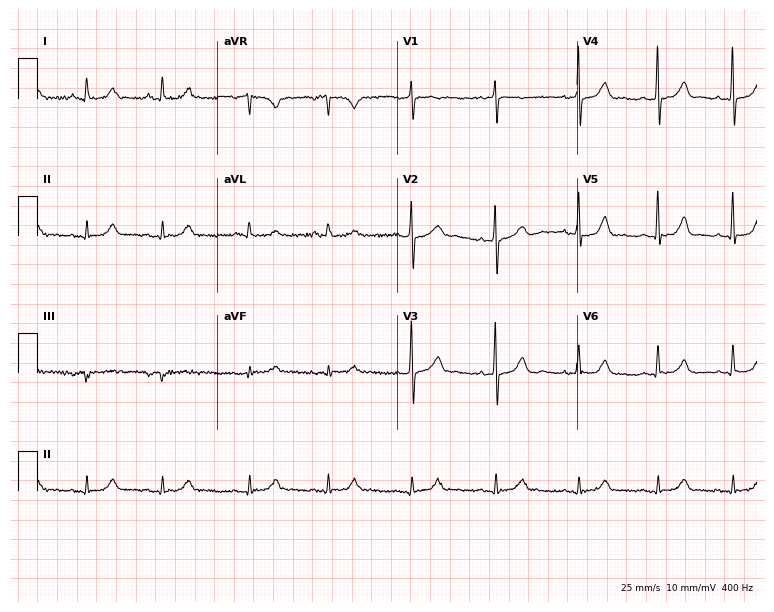
12-lead ECG from a woman, 83 years old. No first-degree AV block, right bundle branch block (RBBB), left bundle branch block (LBBB), sinus bradycardia, atrial fibrillation (AF) or sinus tachycardia recorded for this tracing. Other findings, if any, are not listed.